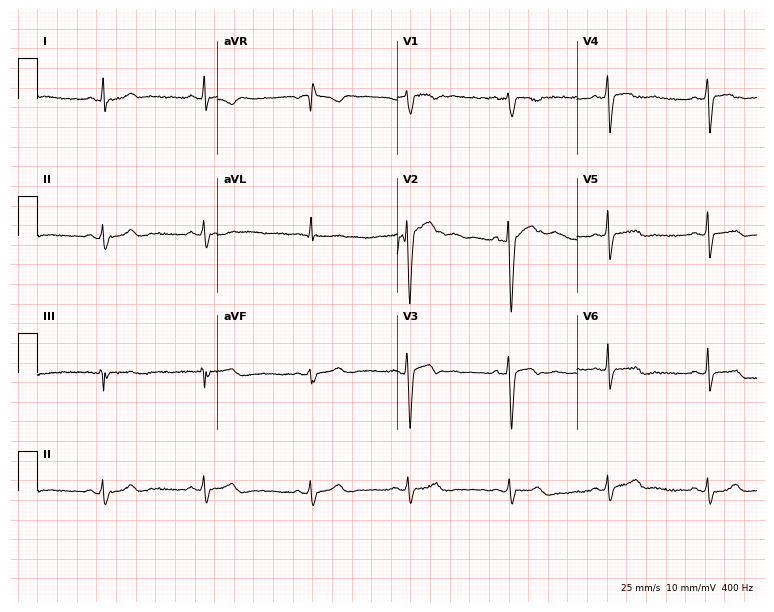
12-lead ECG (7.3-second recording at 400 Hz) from a 19-year-old male. Labelled as a normal ECG.